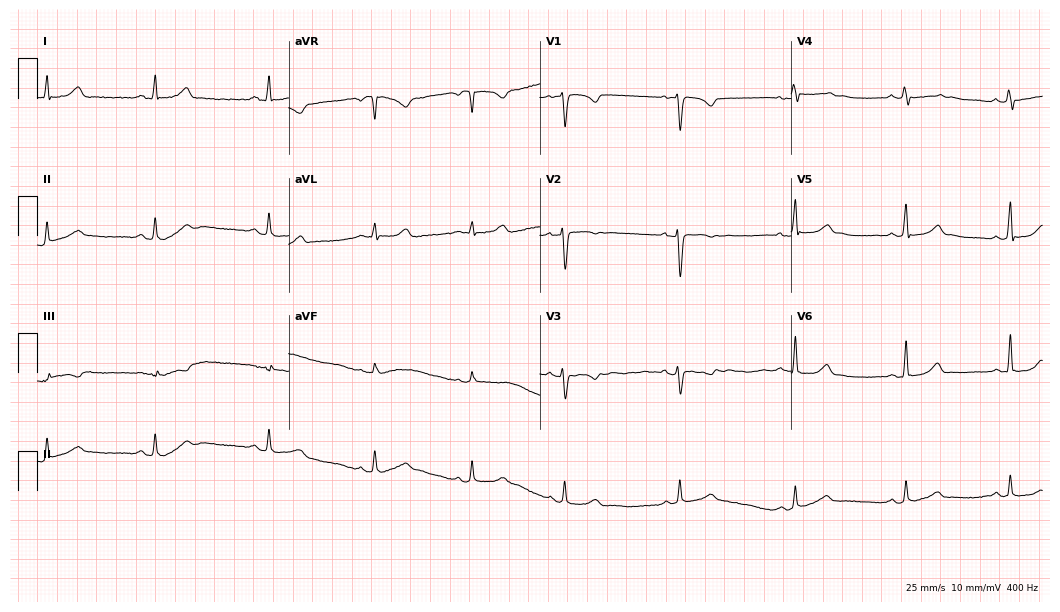
Resting 12-lead electrocardiogram (10.2-second recording at 400 Hz). Patient: a female, 28 years old. Read as a normal ECG.